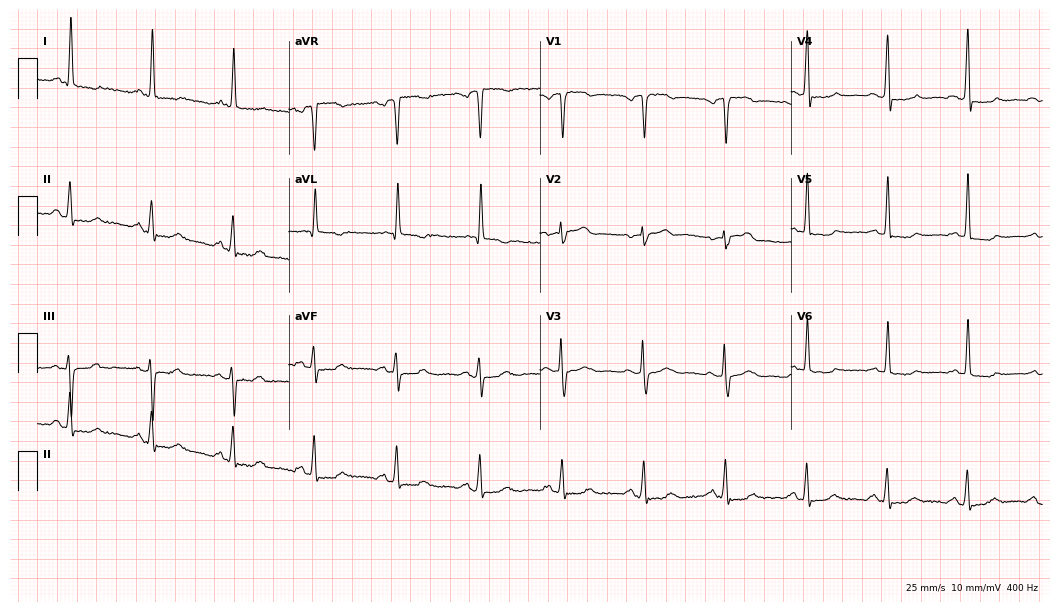
12-lead ECG from a 78-year-old female (10.2-second recording at 400 Hz). No first-degree AV block, right bundle branch block, left bundle branch block, sinus bradycardia, atrial fibrillation or sinus tachycardia recorded for this tracing. Other findings, if any, are not listed.